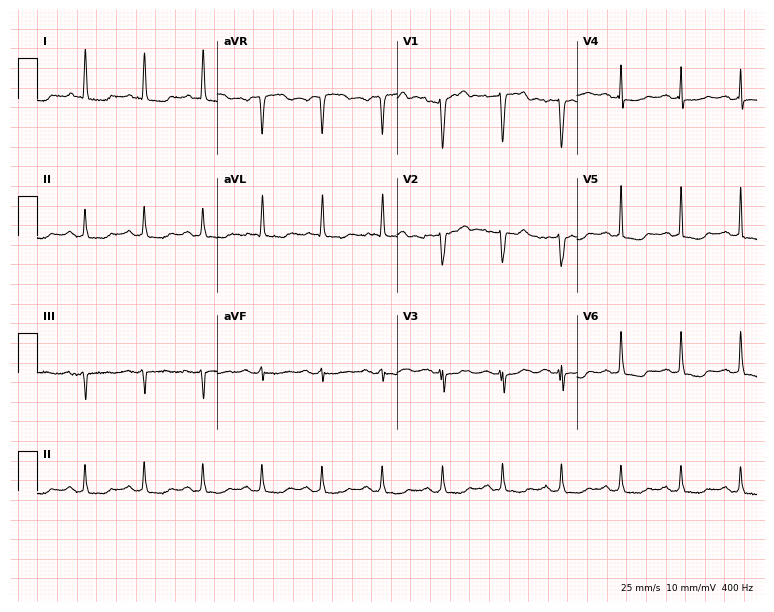
Resting 12-lead electrocardiogram (7.3-second recording at 400 Hz). Patient: a 67-year-old female. None of these six findings is recorded: first-degree AV block, right bundle branch block, left bundle branch block, sinus bradycardia, atrial fibrillation, sinus tachycardia. Other findings, if any, are not listed.